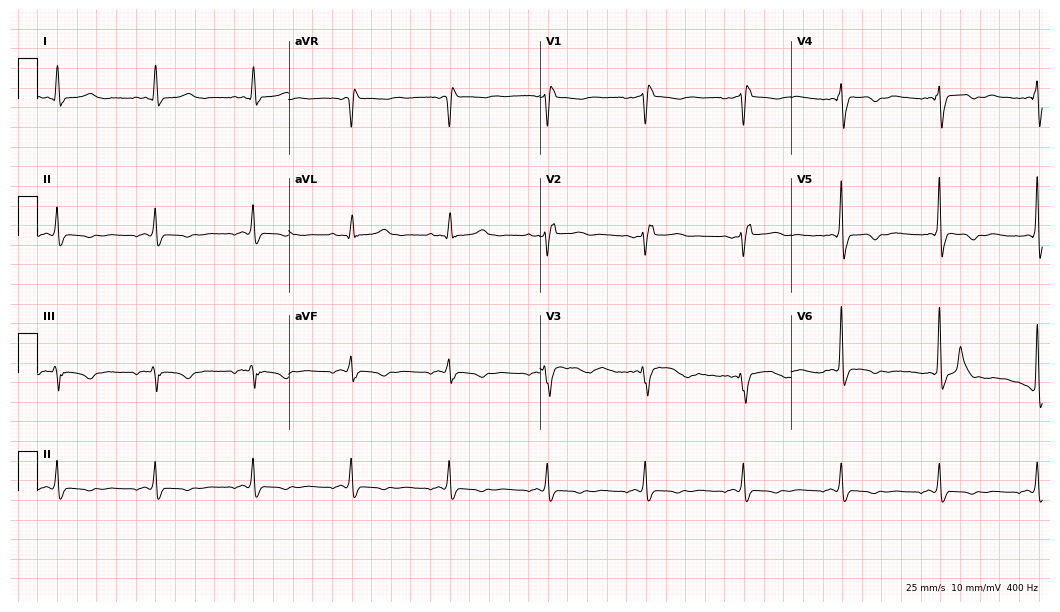
ECG — a 50-year-old female patient. Findings include right bundle branch block.